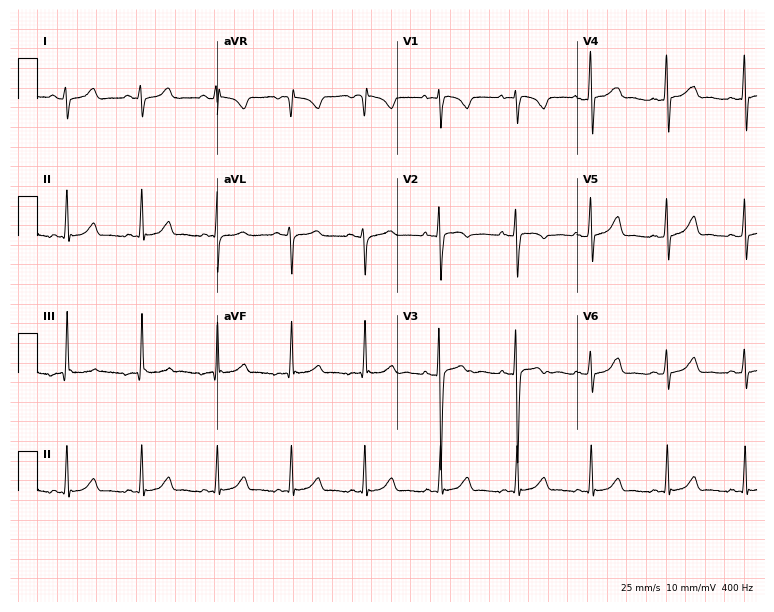
Standard 12-lead ECG recorded from a female, 21 years old (7.3-second recording at 400 Hz). Read as a normal ECG.